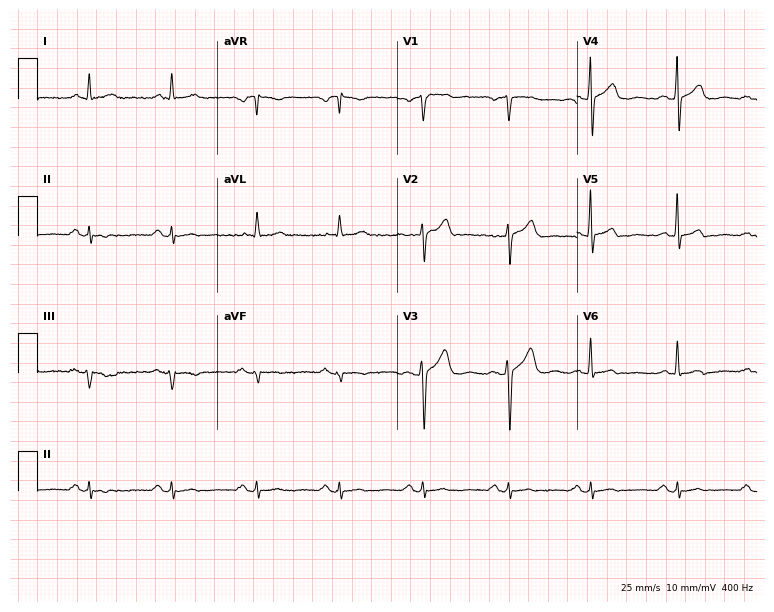
Standard 12-lead ECG recorded from a male, 57 years old. Read as a normal ECG.